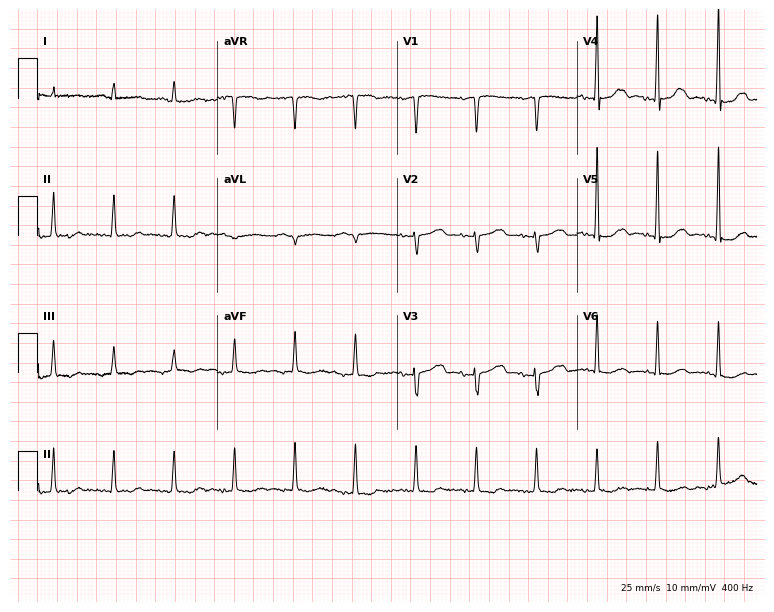
Resting 12-lead electrocardiogram. Patient: a female, 79 years old. None of these six findings is recorded: first-degree AV block, right bundle branch block (RBBB), left bundle branch block (LBBB), sinus bradycardia, atrial fibrillation (AF), sinus tachycardia. Other findings, if any, are not listed.